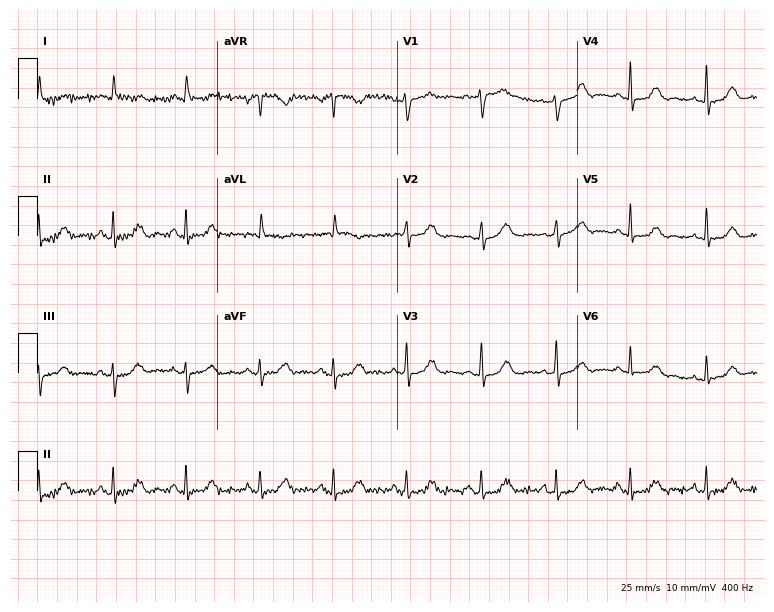
Standard 12-lead ECG recorded from a 75-year-old female patient. Read as a normal ECG.